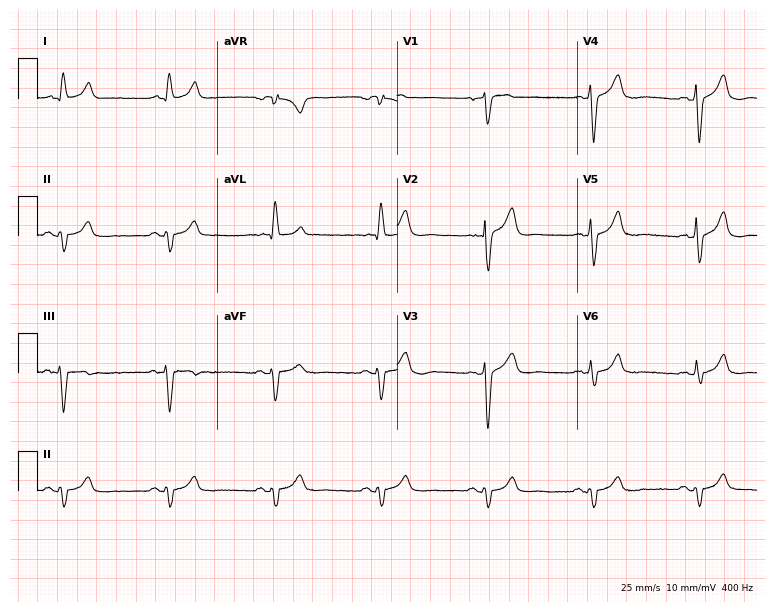
12-lead ECG from an 81-year-old male (7.3-second recording at 400 Hz). No first-degree AV block, right bundle branch block, left bundle branch block, sinus bradycardia, atrial fibrillation or sinus tachycardia recorded for this tracing.